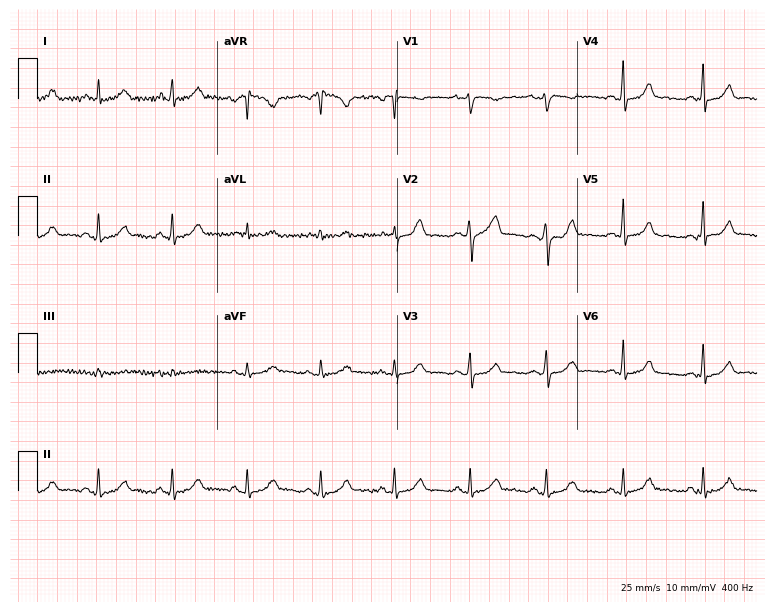
Electrocardiogram (7.3-second recording at 400 Hz), a 23-year-old woman. Overall reading on record: normal ECG.